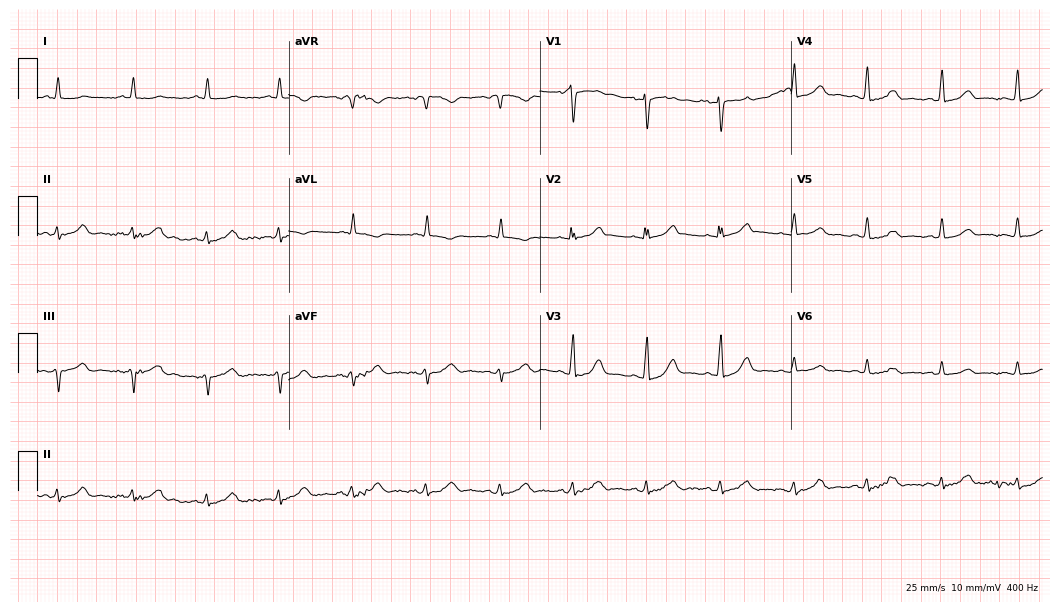
Resting 12-lead electrocardiogram (10.2-second recording at 400 Hz). Patient: an 83-year-old female. None of these six findings is recorded: first-degree AV block, right bundle branch block, left bundle branch block, sinus bradycardia, atrial fibrillation, sinus tachycardia.